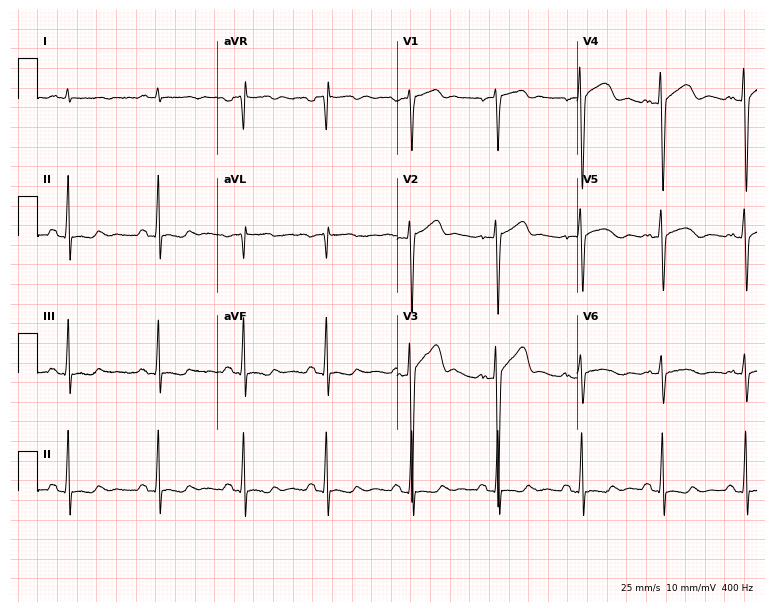
Electrocardiogram, a man, 52 years old. Of the six screened findings (first-degree AV block, right bundle branch block, left bundle branch block, sinus bradycardia, atrial fibrillation, sinus tachycardia), none is recorded. Only these six findings were labelled.